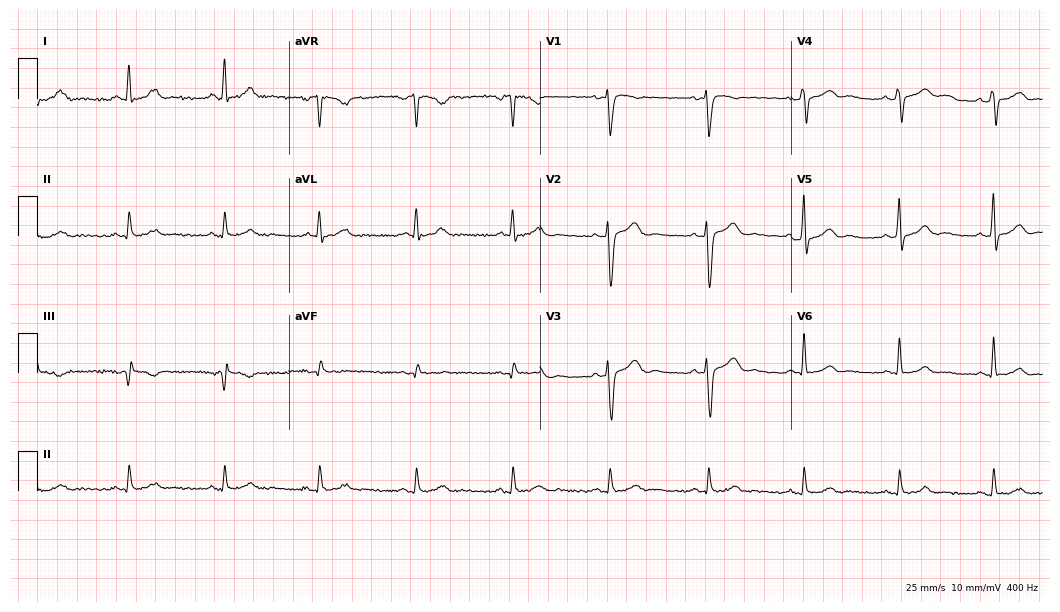
12-lead ECG from a 57-year-old male patient (10.2-second recording at 400 Hz). Recorded interpretation: within normal limits.